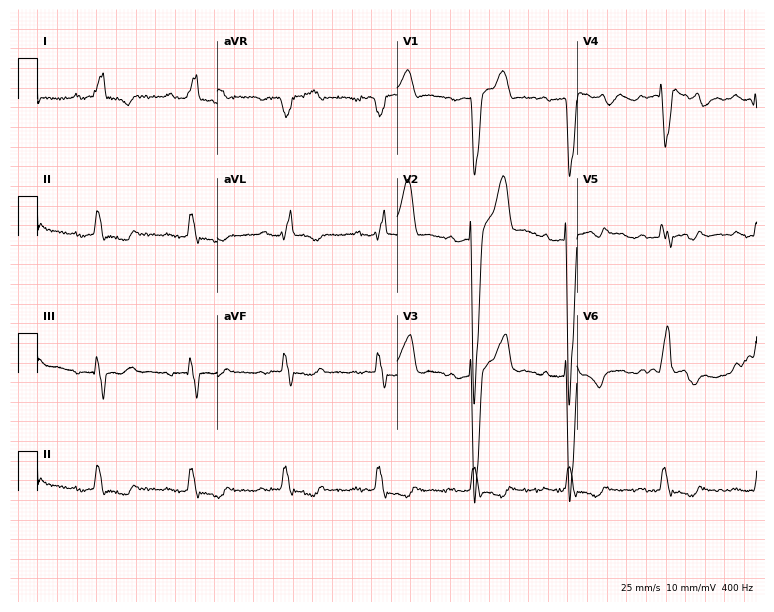
ECG — a man, 80 years old. Findings include first-degree AV block, left bundle branch block (LBBB).